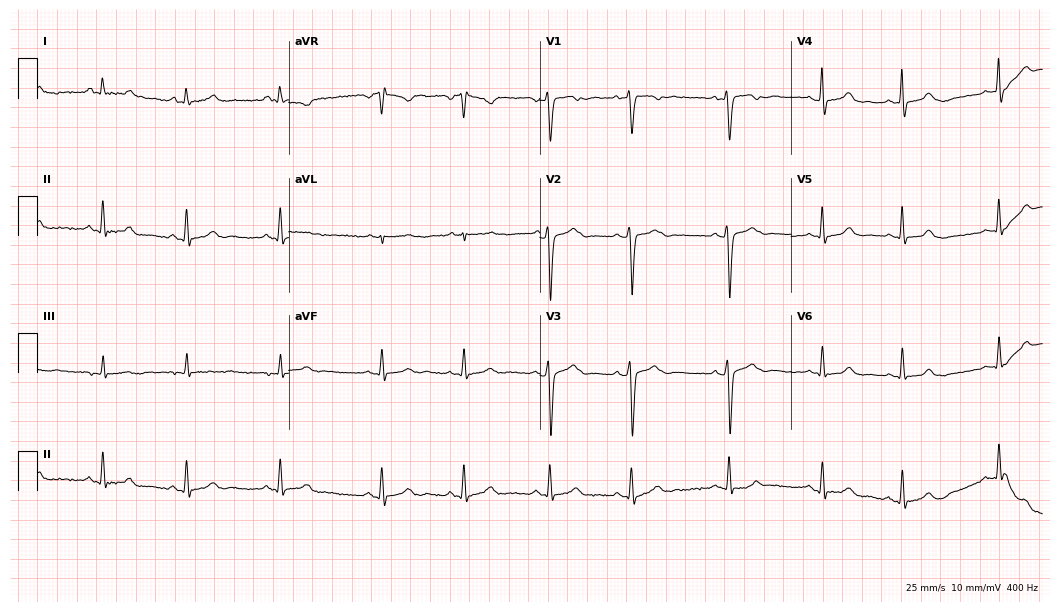
12-lead ECG from a female patient, 27 years old (10.2-second recording at 400 Hz). Recorded interpretation: within normal limits.